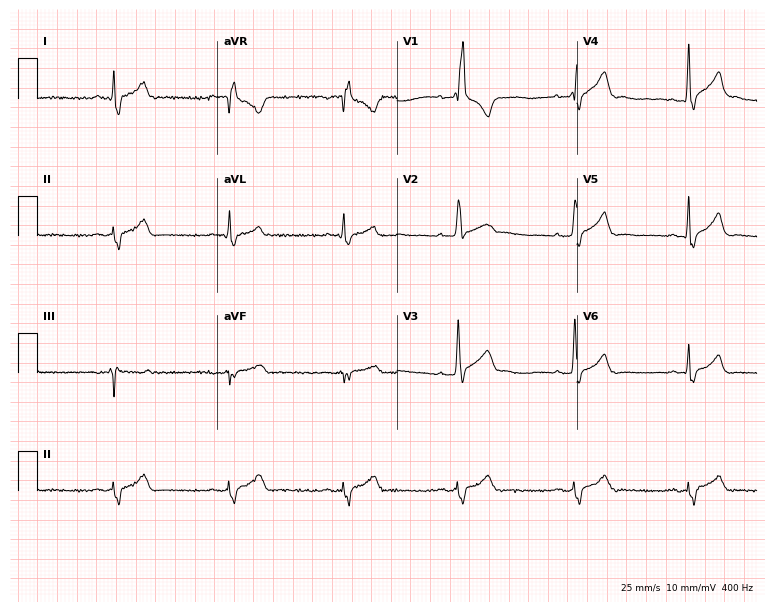
12-lead ECG from a male, 45 years old (7.3-second recording at 400 Hz). Shows right bundle branch block.